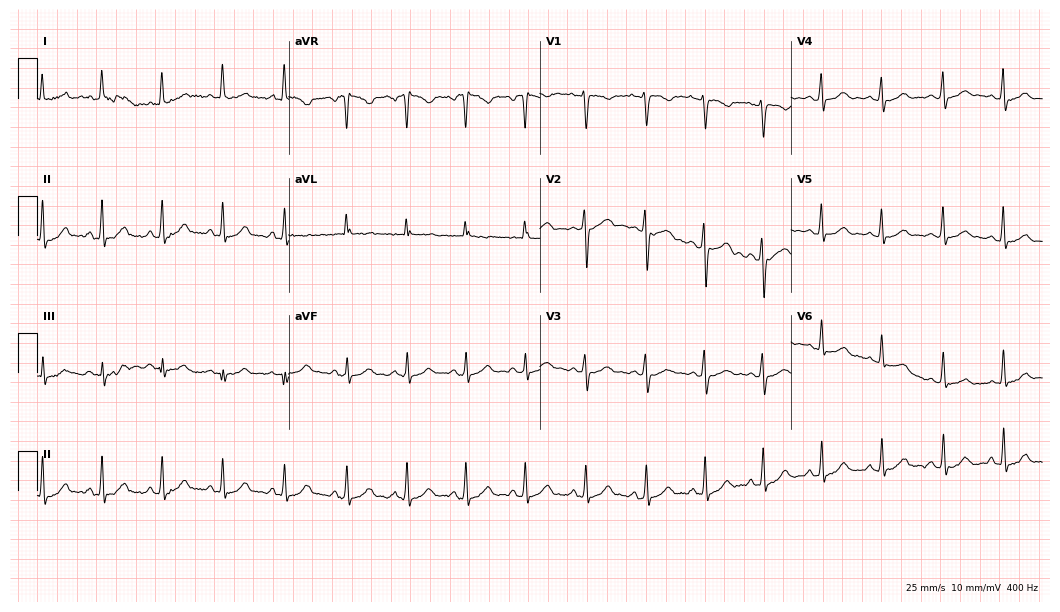
Resting 12-lead electrocardiogram (10.2-second recording at 400 Hz). Patient: a woman, 20 years old. Read as a normal ECG.